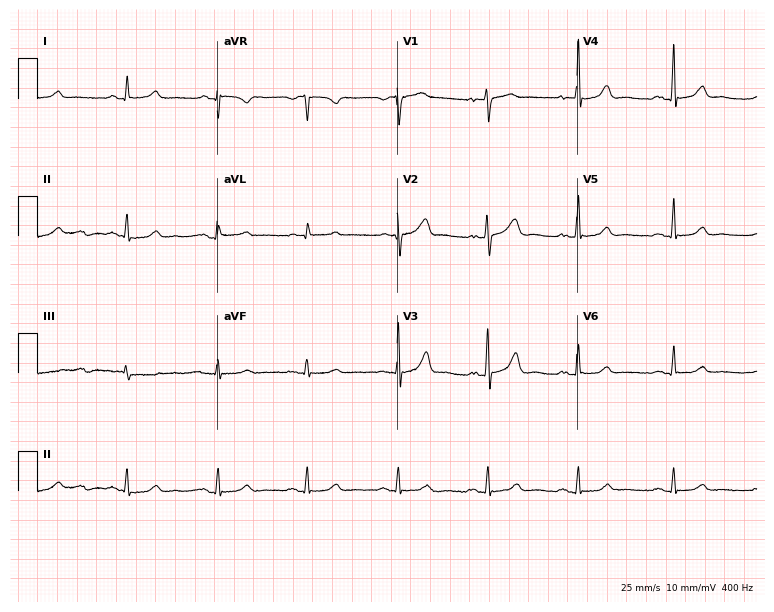
Electrocardiogram, a female patient, 63 years old. Overall reading on record: normal ECG.